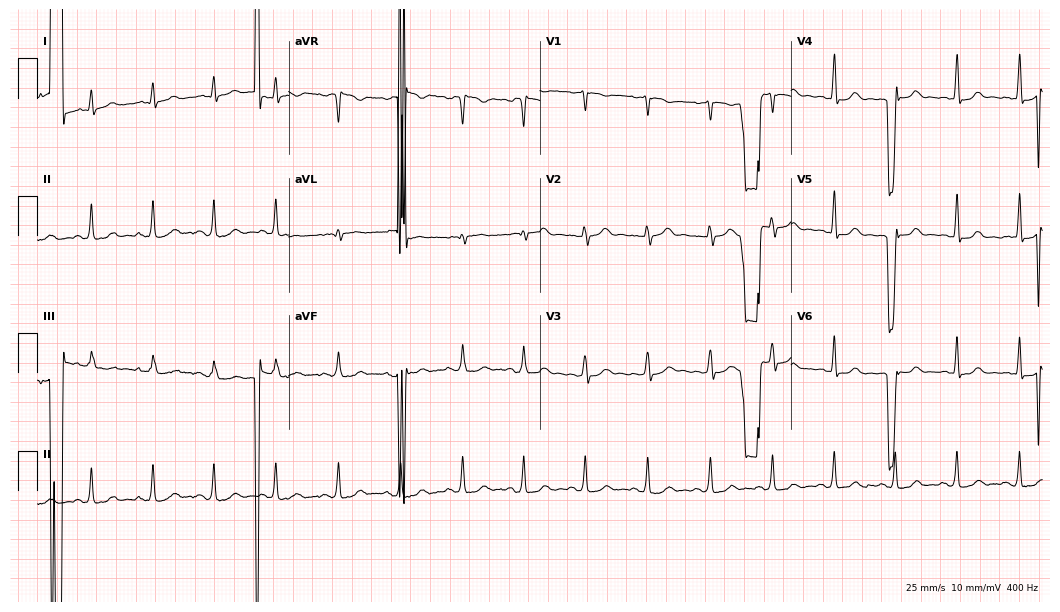
Electrocardiogram, a 20-year-old woman. Of the six screened findings (first-degree AV block, right bundle branch block, left bundle branch block, sinus bradycardia, atrial fibrillation, sinus tachycardia), none is recorded.